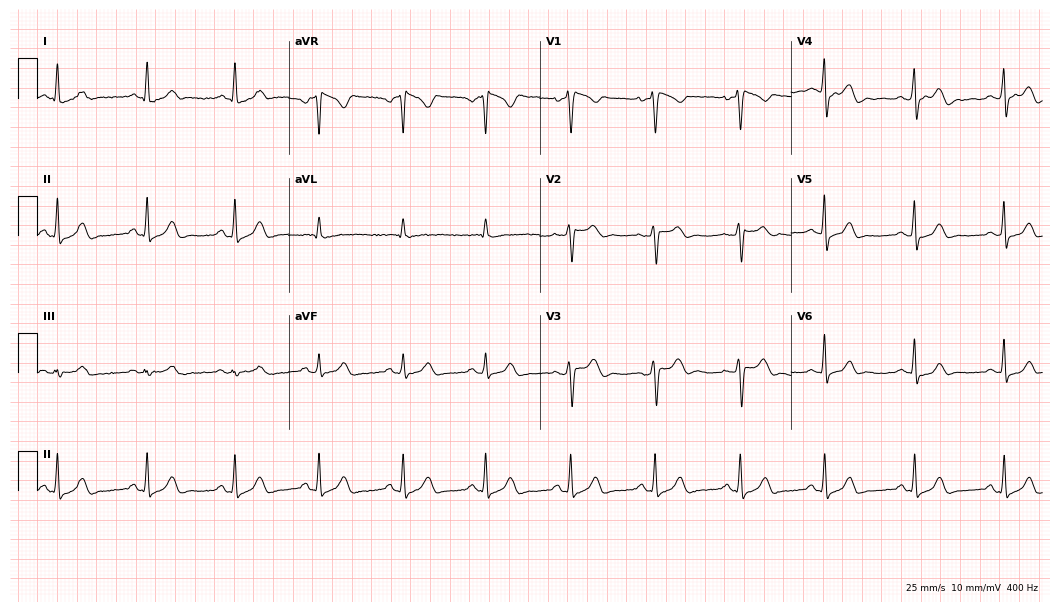
Electrocardiogram, a woman, 47 years old. Overall reading on record: normal ECG.